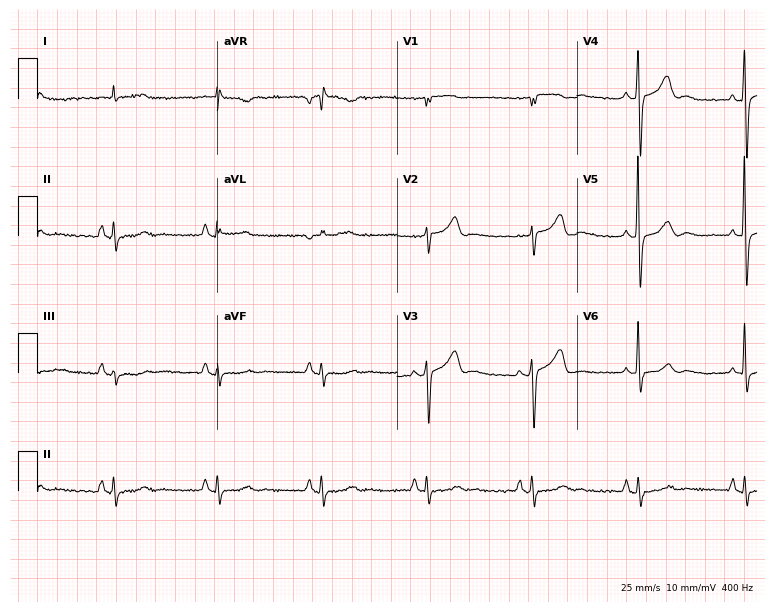
Standard 12-lead ECG recorded from an 82-year-old male patient (7.3-second recording at 400 Hz). None of these six findings is recorded: first-degree AV block, right bundle branch block, left bundle branch block, sinus bradycardia, atrial fibrillation, sinus tachycardia. Findings outside these six are not listed.